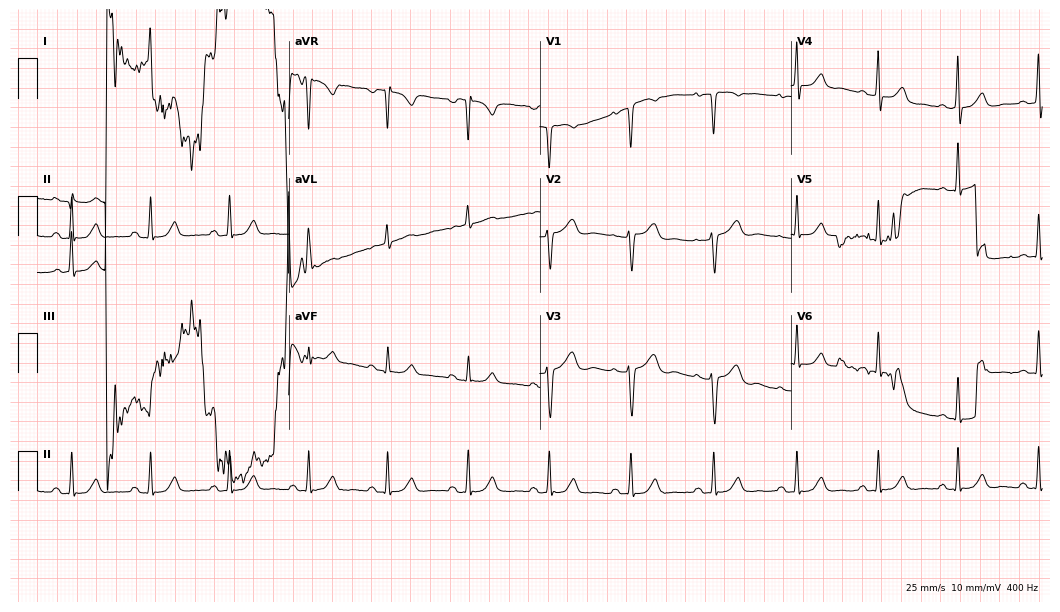
Standard 12-lead ECG recorded from a 49-year-old female (10.2-second recording at 400 Hz). None of these six findings is recorded: first-degree AV block, right bundle branch block, left bundle branch block, sinus bradycardia, atrial fibrillation, sinus tachycardia.